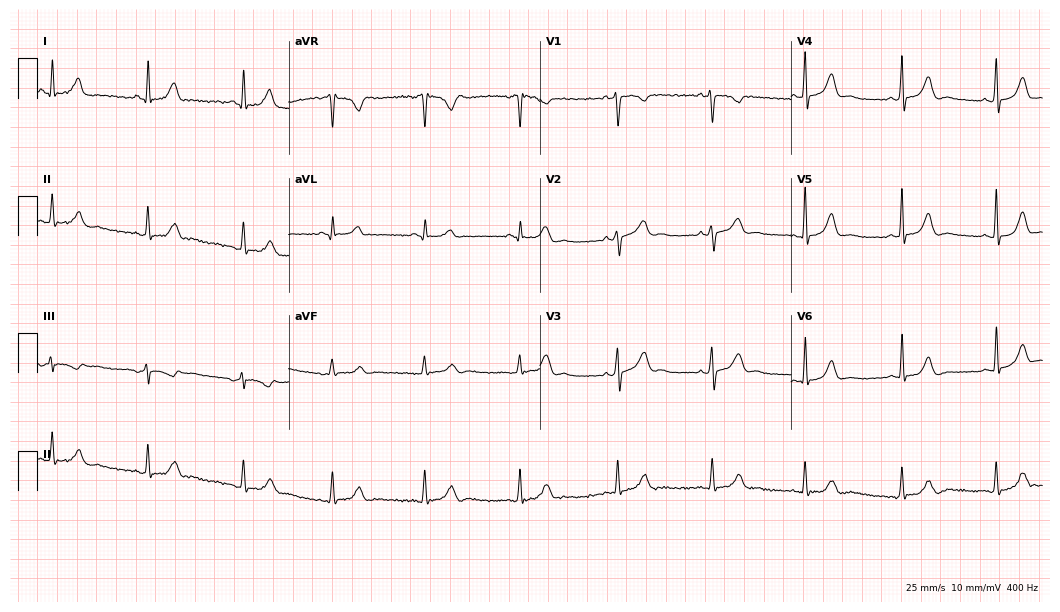
Electrocardiogram (10.2-second recording at 400 Hz), a female, 34 years old. Of the six screened findings (first-degree AV block, right bundle branch block (RBBB), left bundle branch block (LBBB), sinus bradycardia, atrial fibrillation (AF), sinus tachycardia), none is recorded. Findings outside these six are not listed.